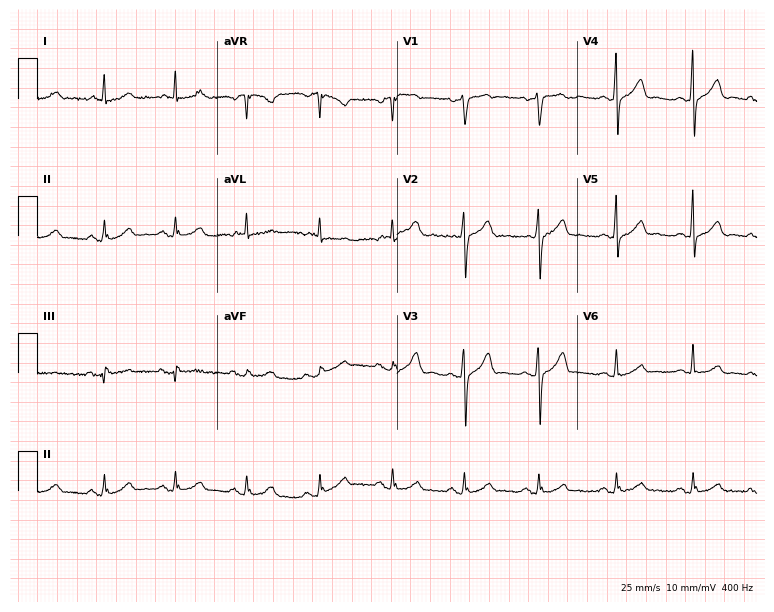
Standard 12-lead ECG recorded from a 68-year-old male patient (7.3-second recording at 400 Hz). Read as a normal ECG.